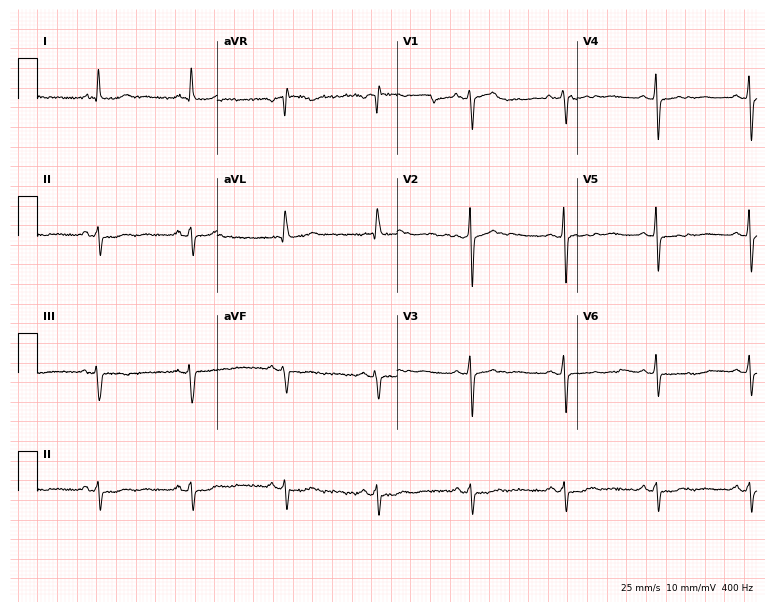
Electrocardiogram (7.3-second recording at 400 Hz), a male patient, 73 years old. Of the six screened findings (first-degree AV block, right bundle branch block (RBBB), left bundle branch block (LBBB), sinus bradycardia, atrial fibrillation (AF), sinus tachycardia), none is recorded. Findings outside these six are not listed.